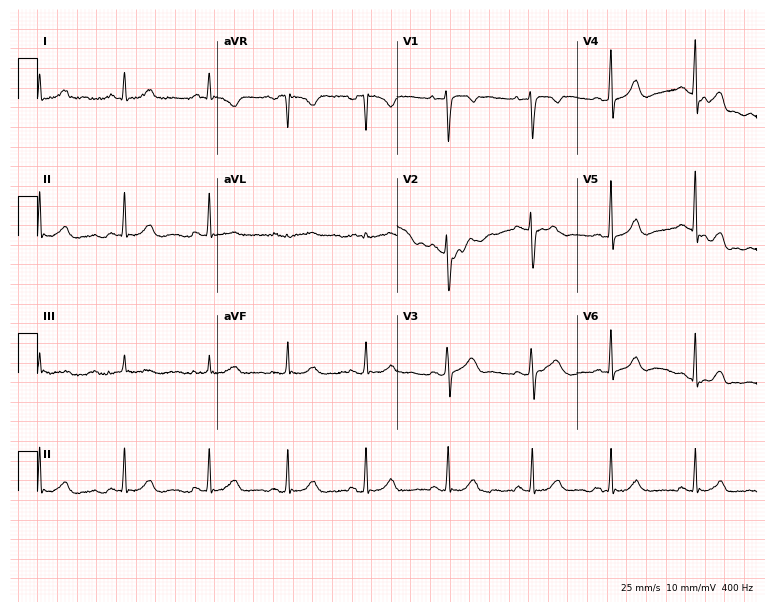
Resting 12-lead electrocardiogram (7.3-second recording at 400 Hz). Patient: a 28-year-old female. None of these six findings is recorded: first-degree AV block, right bundle branch block, left bundle branch block, sinus bradycardia, atrial fibrillation, sinus tachycardia. Other findings, if any, are not listed.